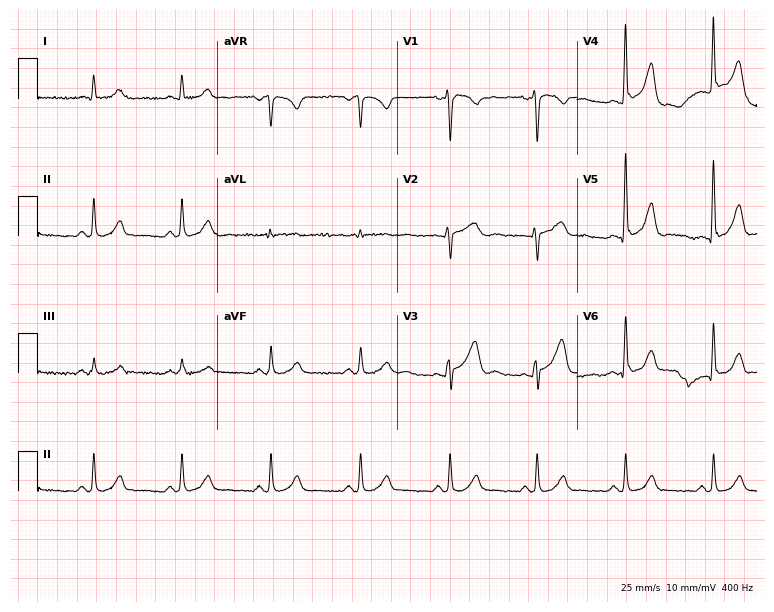
Standard 12-lead ECG recorded from a 19-year-old man. Read as a normal ECG.